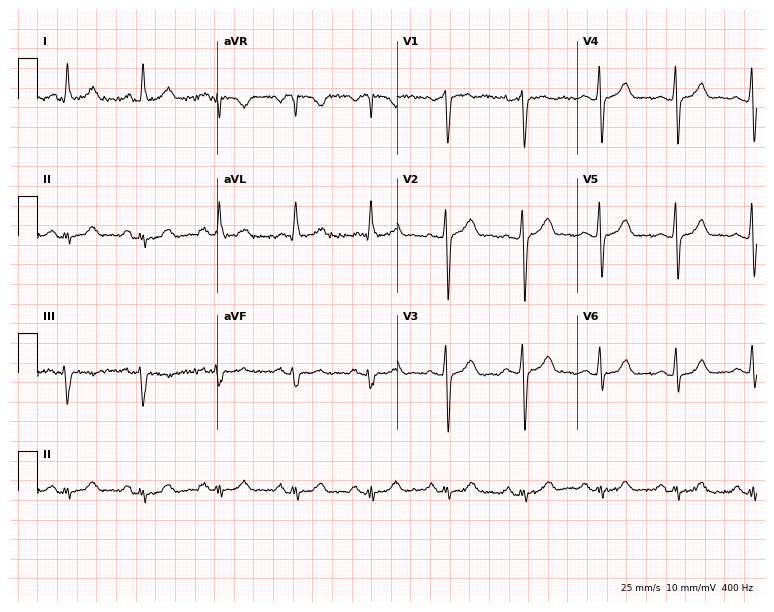
Standard 12-lead ECG recorded from a man, 78 years old (7.3-second recording at 400 Hz). None of these six findings is recorded: first-degree AV block, right bundle branch block, left bundle branch block, sinus bradycardia, atrial fibrillation, sinus tachycardia. Other findings, if any, are not listed.